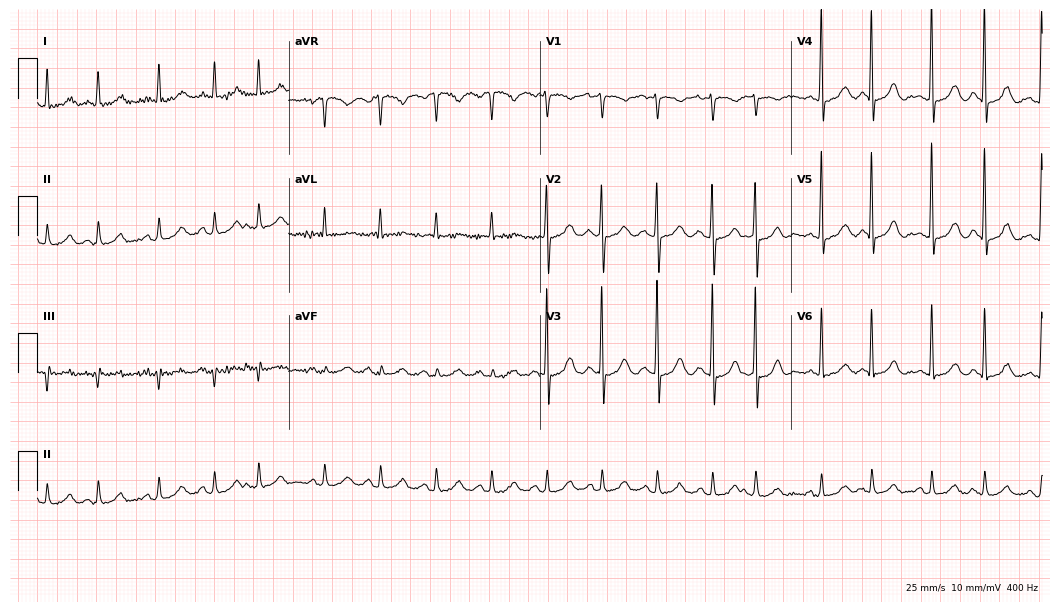
ECG (10.2-second recording at 400 Hz) — a woman, 77 years old. Findings include sinus tachycardia (a sinus rate of 100 beats per minute or more).